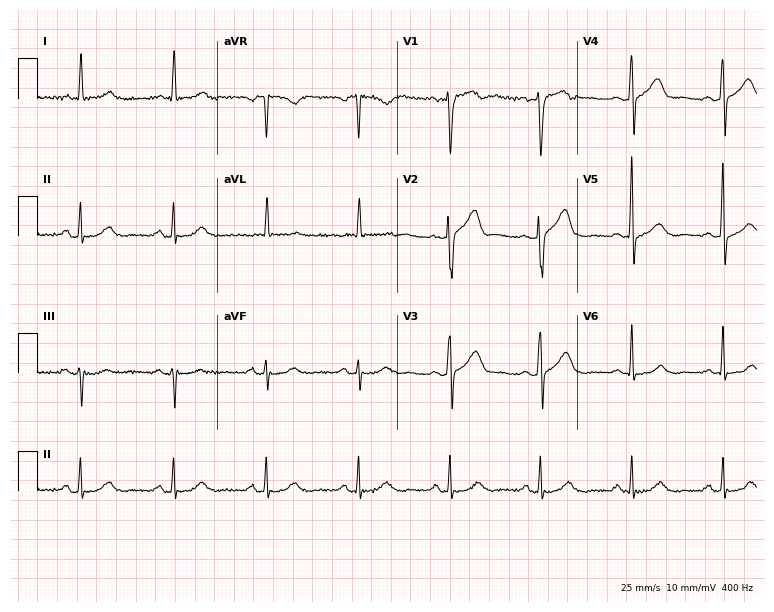
12-lead ECG (7.3-second recording at 400 Hz) from a 73-year-old male patient. Labelled as a normal ECG.